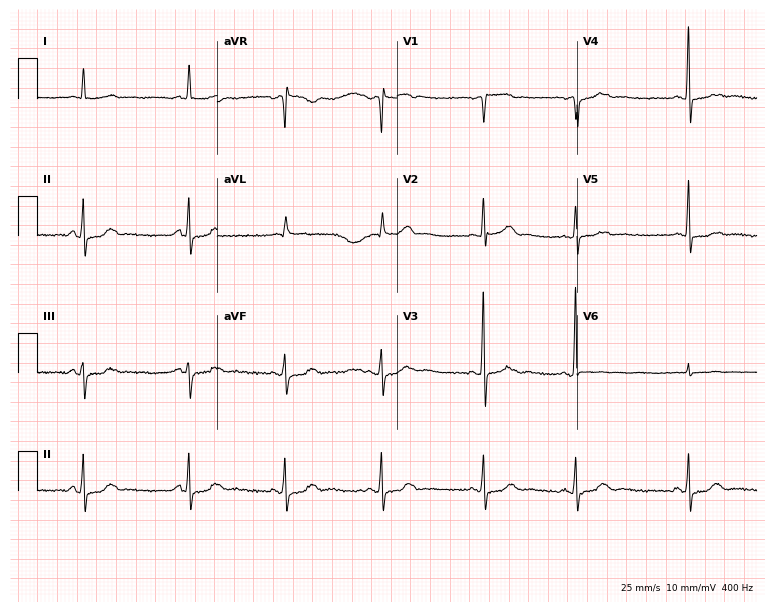
Standard 12-lead ECG recorded from a 62-year-old female (7.3-second recording at 400 Hz). None of these six findings is recorded: first-degree AV block, right bundle branch block, left bundle branch block, sinus bradycardia, atrial fibrillation, sinus tachycardia.